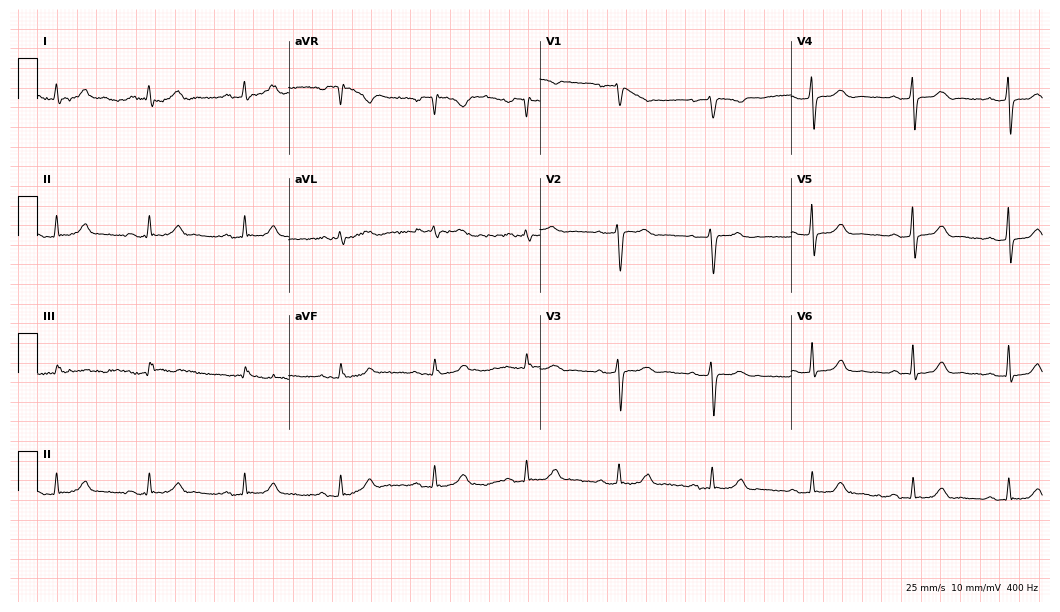
12-lead ECG from a female patient, 50 years old. Labelled as a normal ECG.